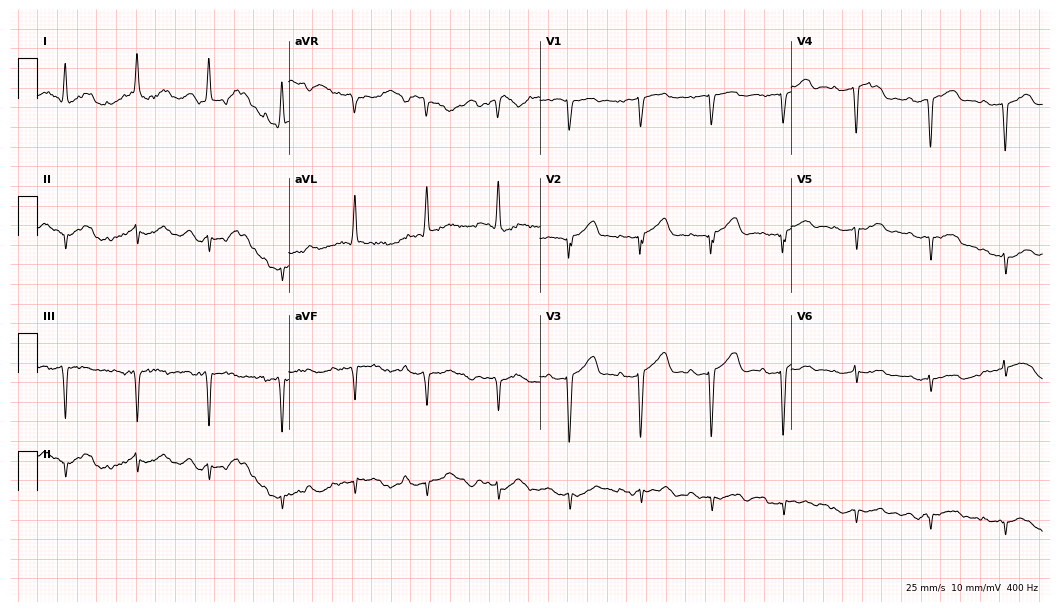
Electrocardiogram (10.2-second recording at 400 Hz), a 78-year-old male. Of the six screened findings (first-degree AV block, right bundle branch block, left bundle branch block, sinus bradycardia, atrial fibrillation, sinus tachycardia), none is recorded. Findings outside these six are not listed.